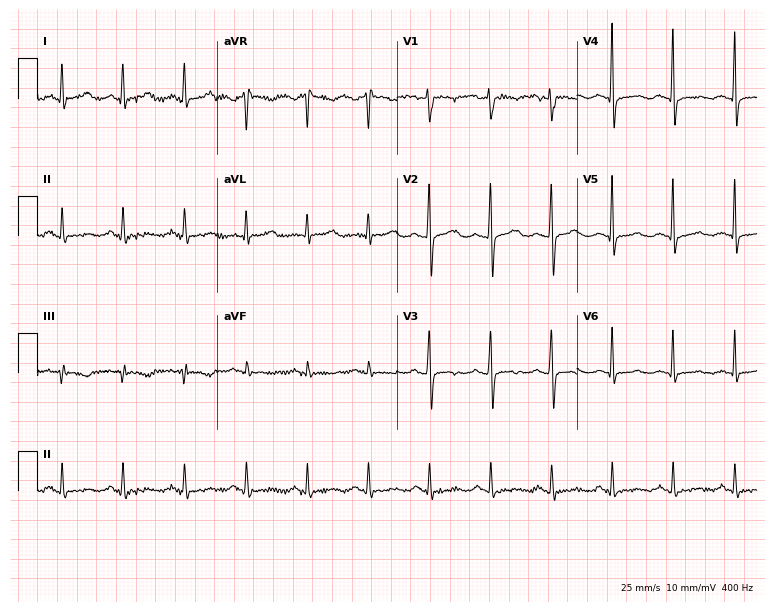
Electrocardiogram, a 43-year-old woman. Of the six screened findings (first-degree AV block, right bundle branch block, left bundle branch block, sinus bradycardia, atrial fibrillation, sinus tachycardia), none is recorded.